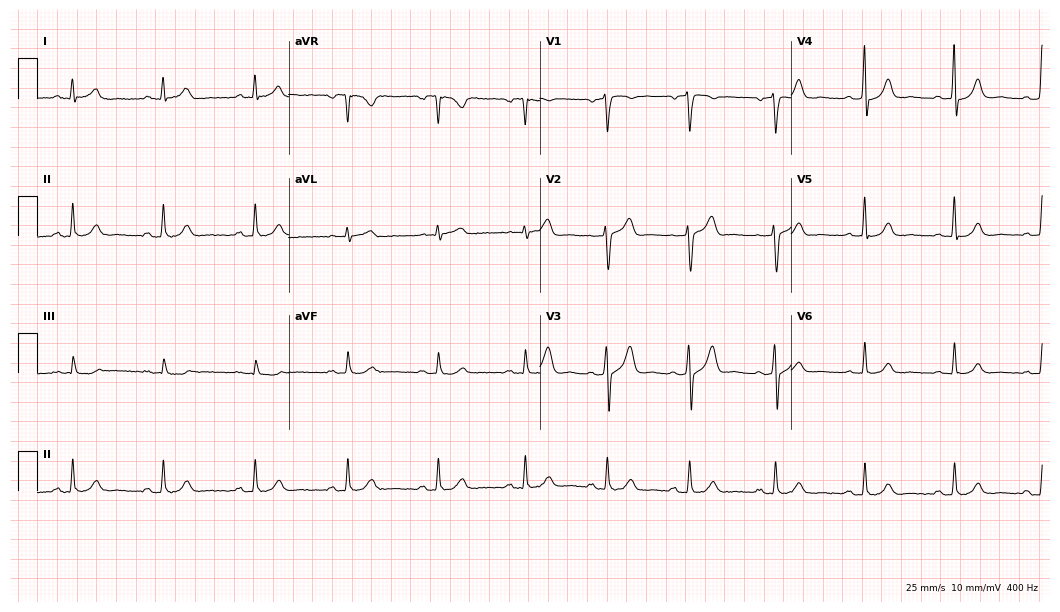
ECG — a 57-year-old man. Labelled as a normal ECG.